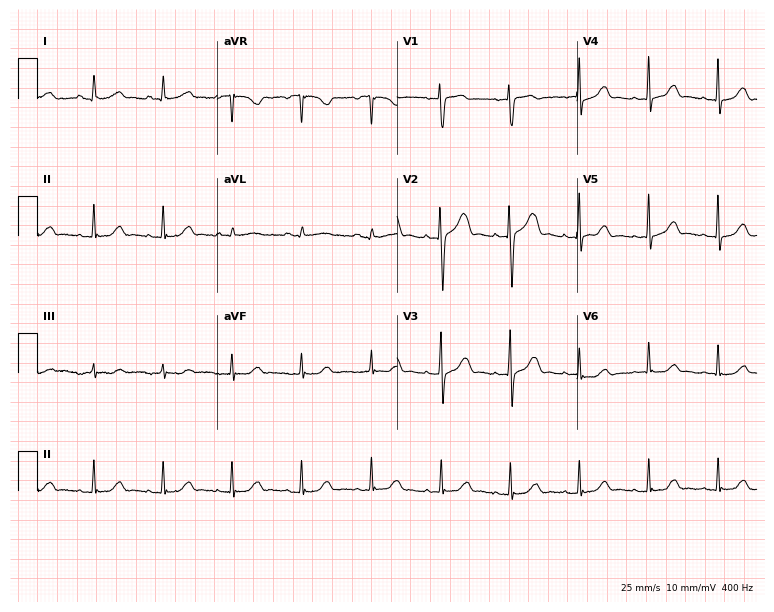
12-lead ECG from a female, 69 years old (7.3-second recording at 400 Hz). Recorded interpretation: within normal limits.